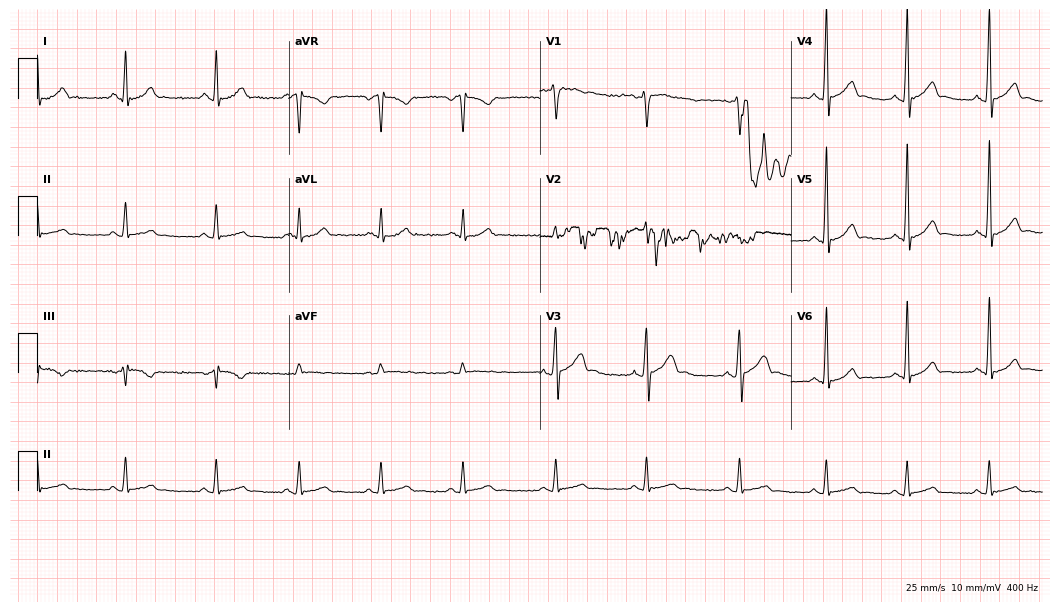
ECG (10.2-second recording at 400 Hz) — a 27-year-old male patient. Labelled as a normal ECG.